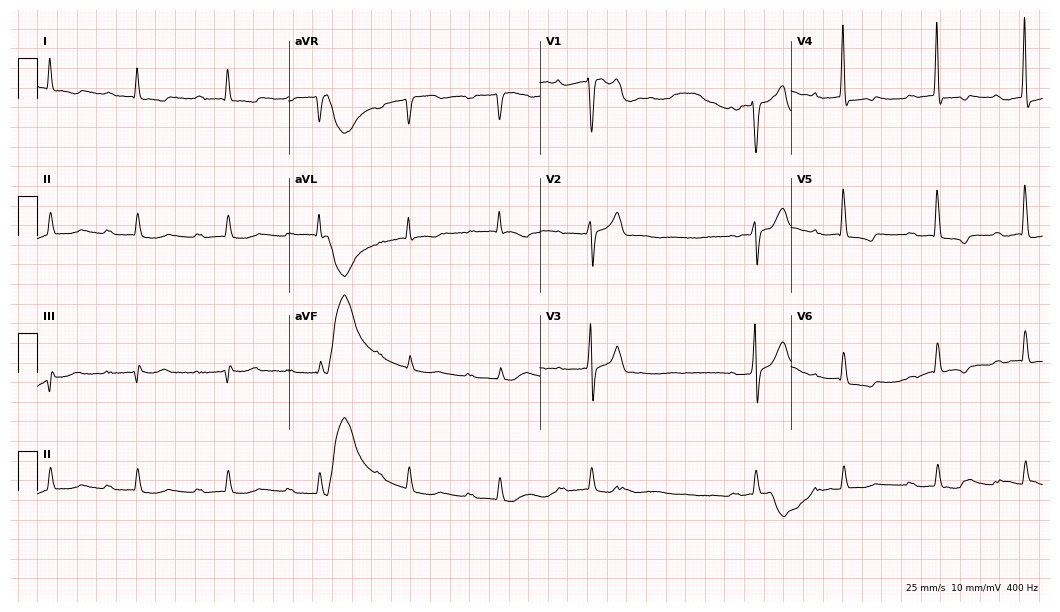
Standard 12-lead ECG recorded from a male patient, 70 years old. None of these six findings is recorded: first-degree AV block, right bundle branch block, left bundle branch block, sinus bradycardia, atrial fibrillation, sinus tachycardia. Other findings, if any, are not listed.